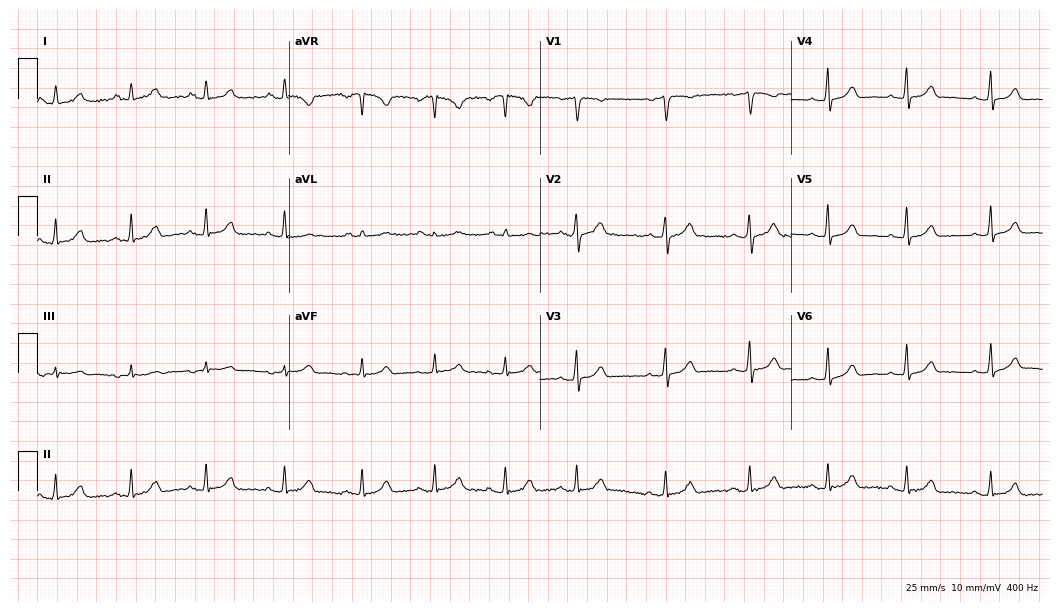
12-lead ECG from a woman, 37 years old. Labelled as a normal ECG.